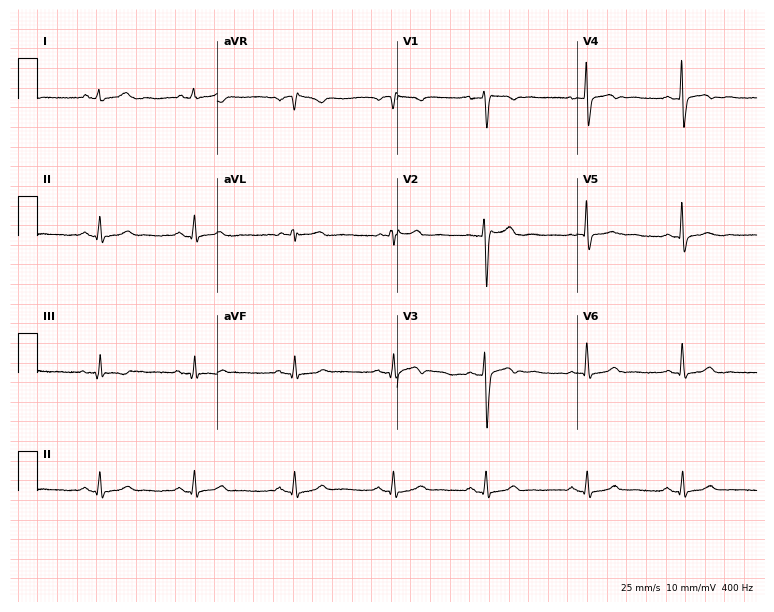
Standard 12-lead ECG recorded from a woman, 32 years old. Read as a normal ECG.